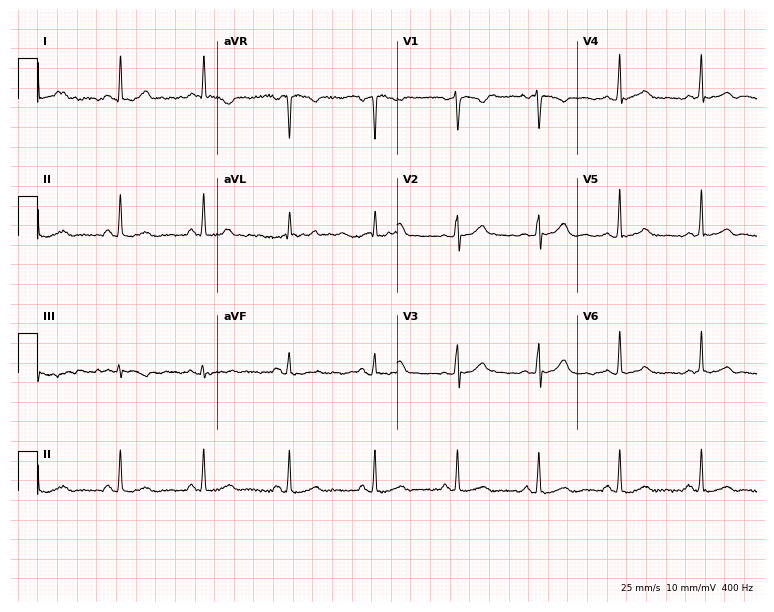
12-lead ECG from a 48-year-old woman (7.3-second recording at 400 Hz). No first-degree AV block, right bundle branch block, left bundle branch block, sinus bradycardia, atrial fibrillation or sinus tachycardia recorded for this tracing. Other findings, if any, are not listed.